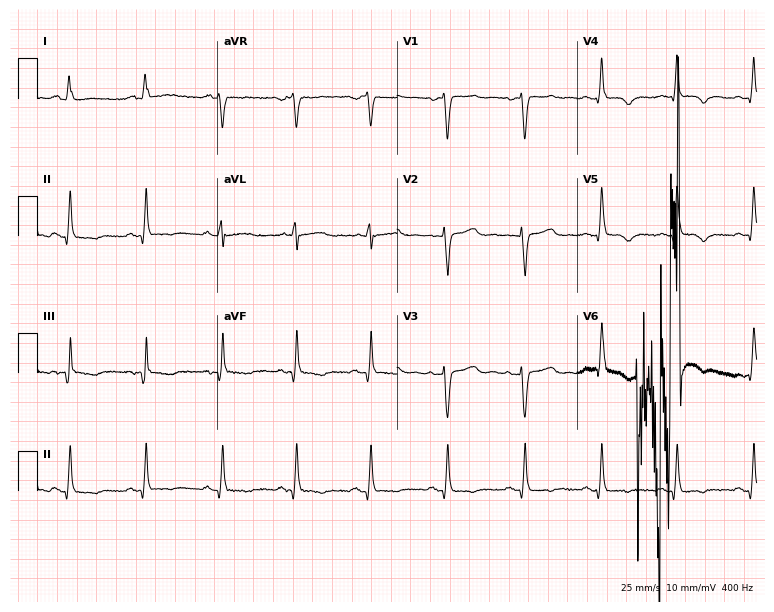
Standard 12-lead ECG recorded from a woman, 58 years old. None of these six findings is recorded: first-degree AV block, right bundle branch block (RBBB), left bundle branch block (LBBB), sinus bradycardia, atrial fibrillation (AF), sinus tachycardia. Other findings, if any, are not listed.